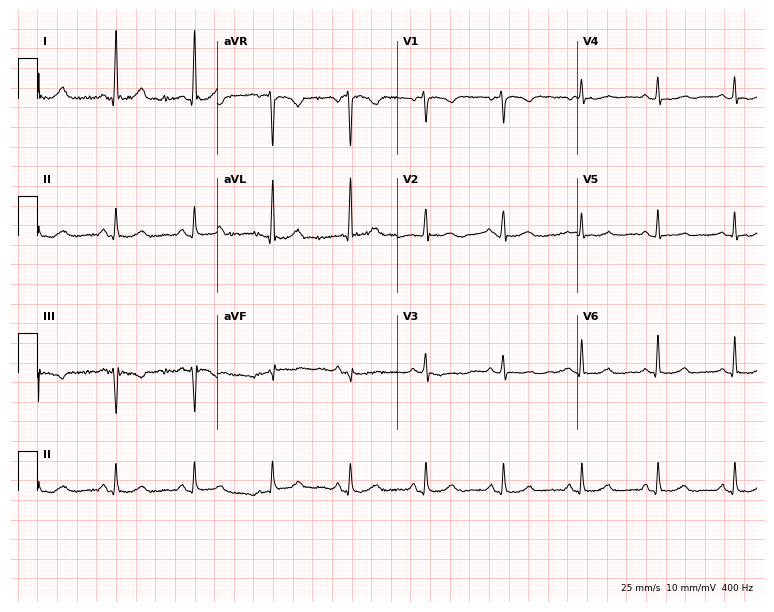
12-lead ECG from a 73-year-old female (7.3-second recording at 400 Hz). No first-degree AV block, right bundle branch block (RBBB), left bundle branch block (LBBB), sinus bradycardia, atrial fibrillation (AF) or sinus tachycardia recorded for this tracing. Only these six findings were labelled.